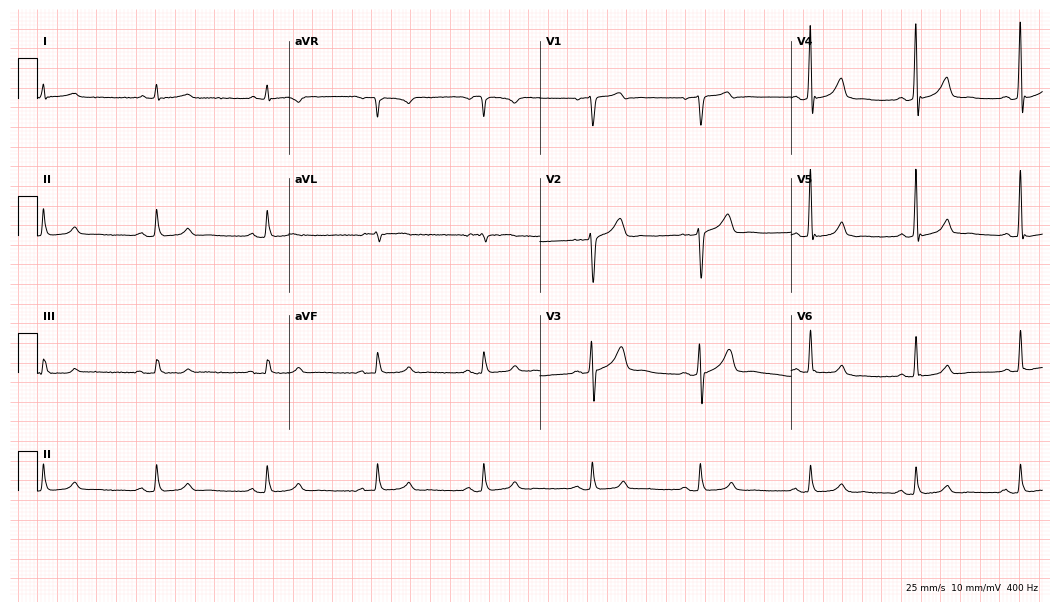
12-lead ECG from a male, 56 years old (10.2-second recording at 400 Hz). No first-degree AV block, right bundle branch block (RBBB), left bundle branch block (LBBB), sinus bradycardia, atrial fibrillation (AF) or sinus tachycardia recorded for this tracing.